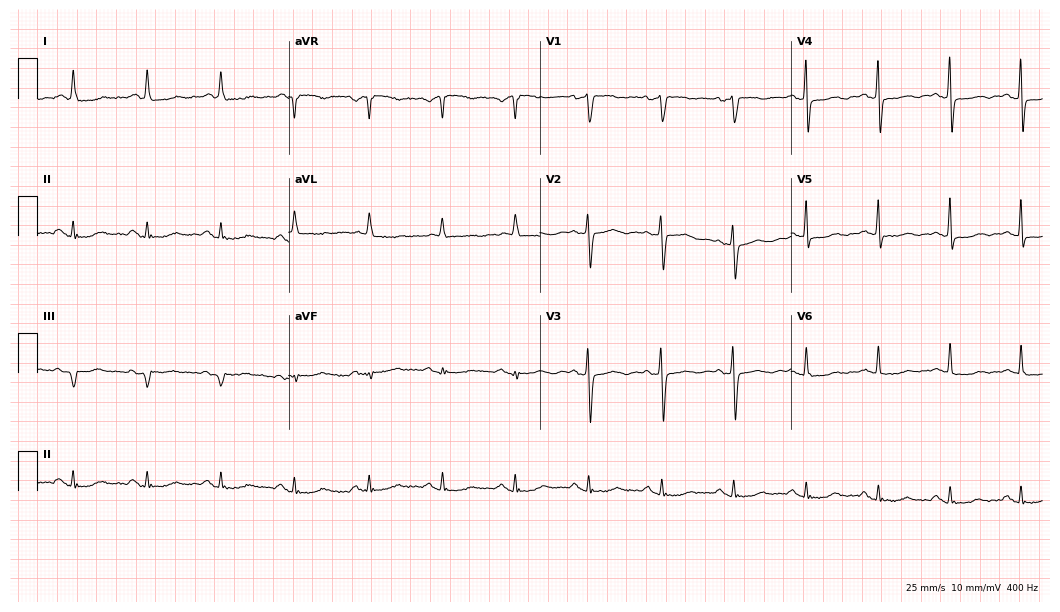
Resting 12-lead electrocardiogram (10.2-second recording at 400 Hz). Patient: a woman, 71 years old. None of these six findings is recorded: first-degree AV block, right bundle branch block, left bundle branch block, sinus bradycardia, atrial fibrillation, sinus tachycardia.